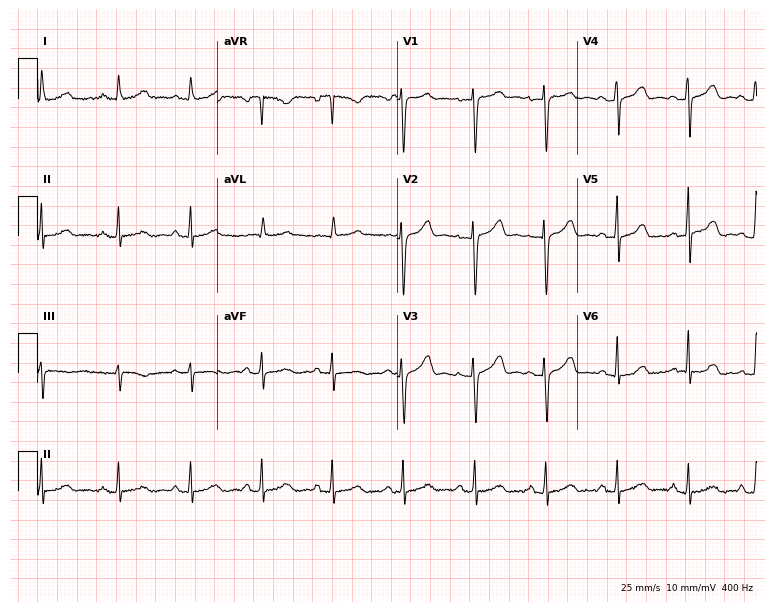
Electrocardiogram (7.3-second recording at 400 Hz), a 44-year-old female patient. Overall reading on record: normal ECG.